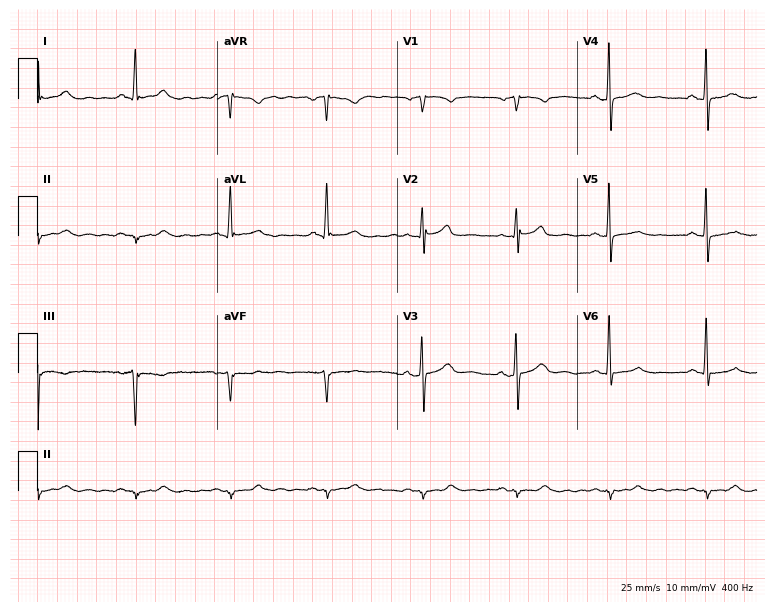
12-lead ECG from a 57-year-old man. No first-degree AV block, right bundle branch block, left bundle branch block, sinus bradycardia, atrial fibrillation or sinus tachycardia recorded for this tracing. Only these six findings were labelled.